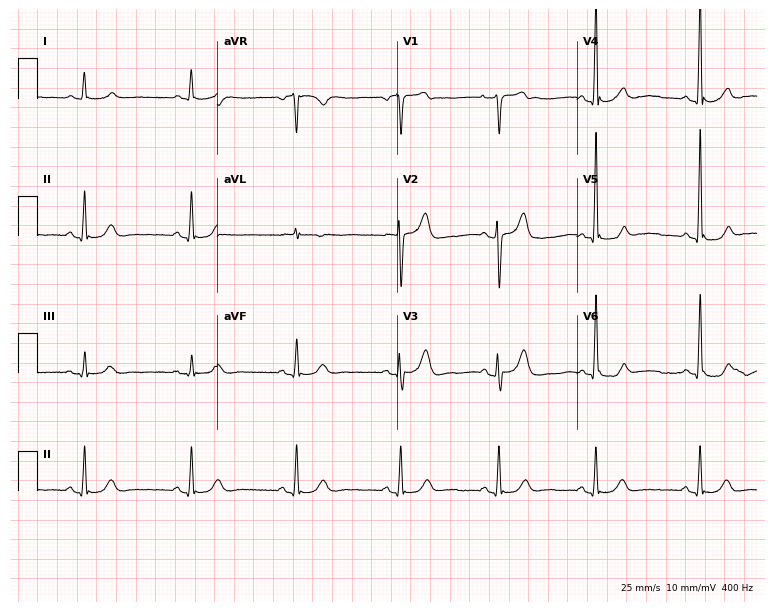
12-lead ECG (7.3-second recording at 400 Hz) from a 62-year-old male patient. Labelled as a normal ECG.